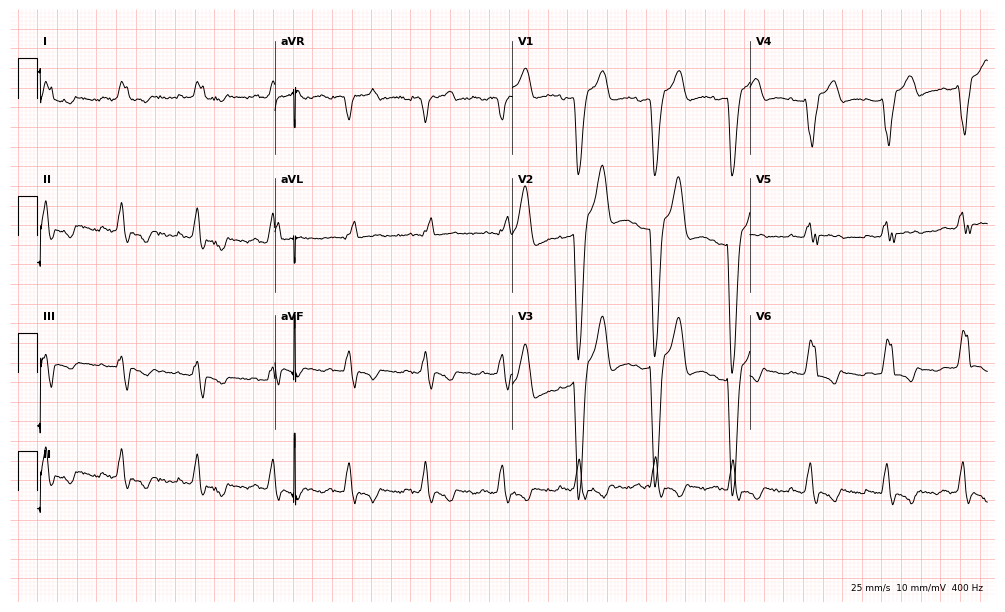
Electrocardiogram (9.7-second recording at 400 Hz), a male, 87 years old. Interpretation includes left bundle branch block.